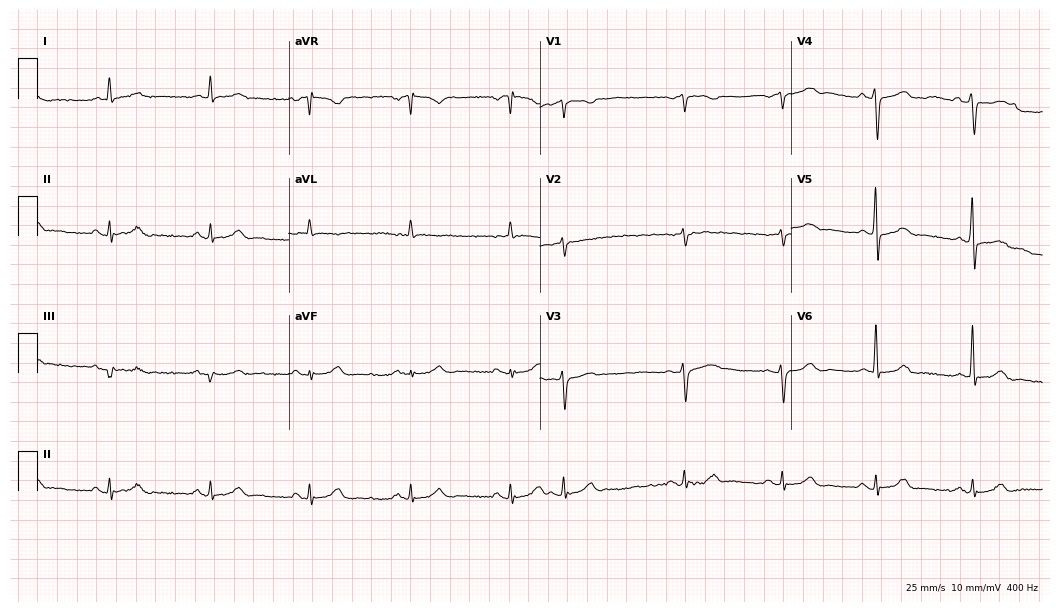
12-lead ECG (10.2-second recording at 400 Hz) from a female patient, 81 years old. Screened for six findings — first-degree AV block, right bundle branch block, left bundle branch block, sinus bradycardia, atrial fibrillation, sinus tachycardia — none is recorded. Other findings, if any, are not listed.